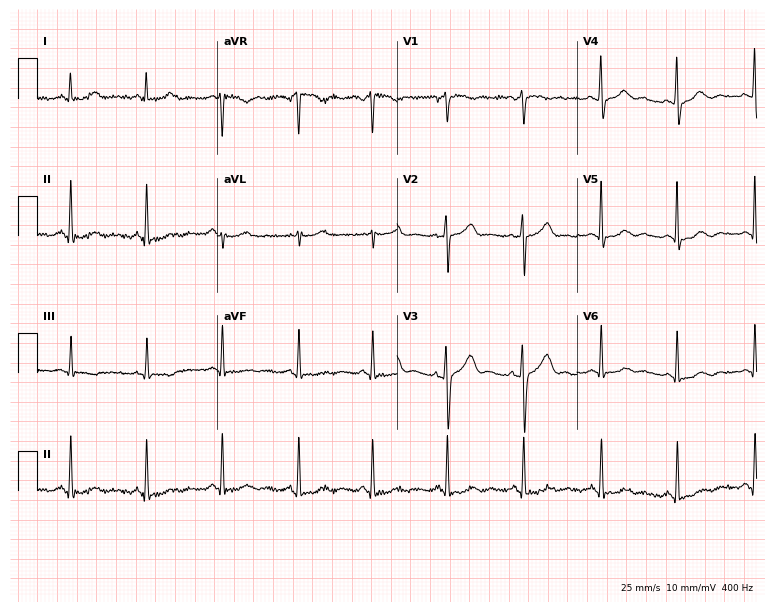
Resting 12-lead electrocardiogram. Patient: a woman, 53 years old. Read as a normal ECG.